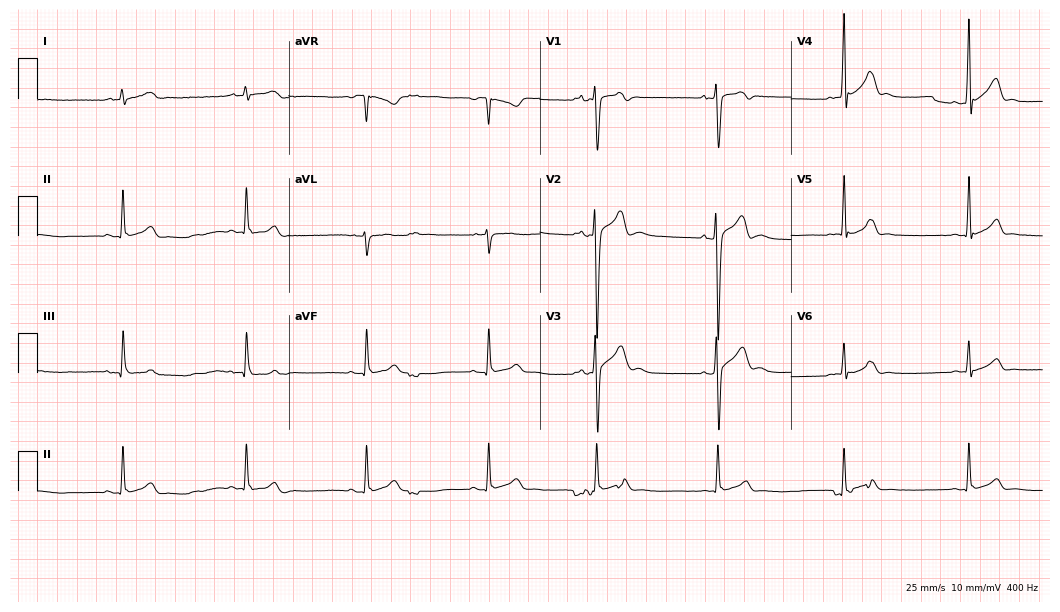
12-lead ECG (10.2-second recording at 400 Hz) from an 18-year-old man. Findings include sinus bradycardia (a sinus rate of 50 beats per minute or less).